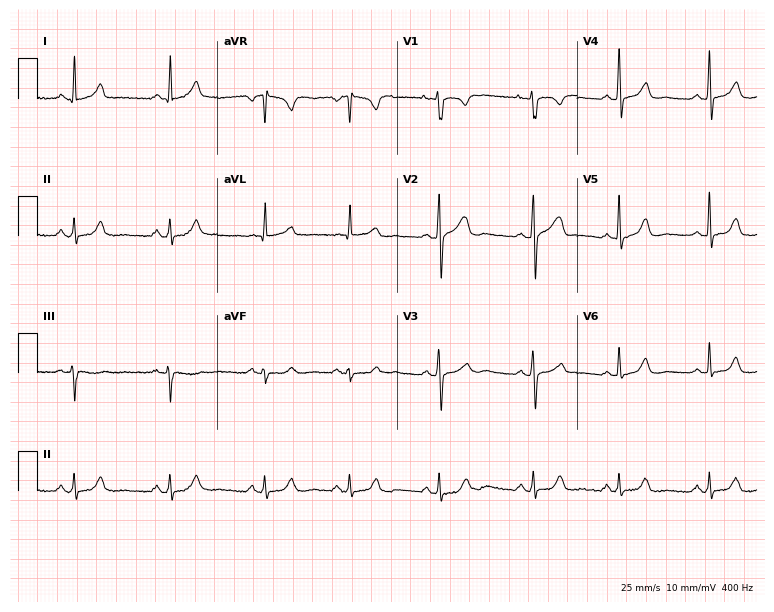
Resting 12-lead electrocardiogram (7.3-second recording at 400 Hz). Patient: a woman, 24 years old. Read as a normal ECG.